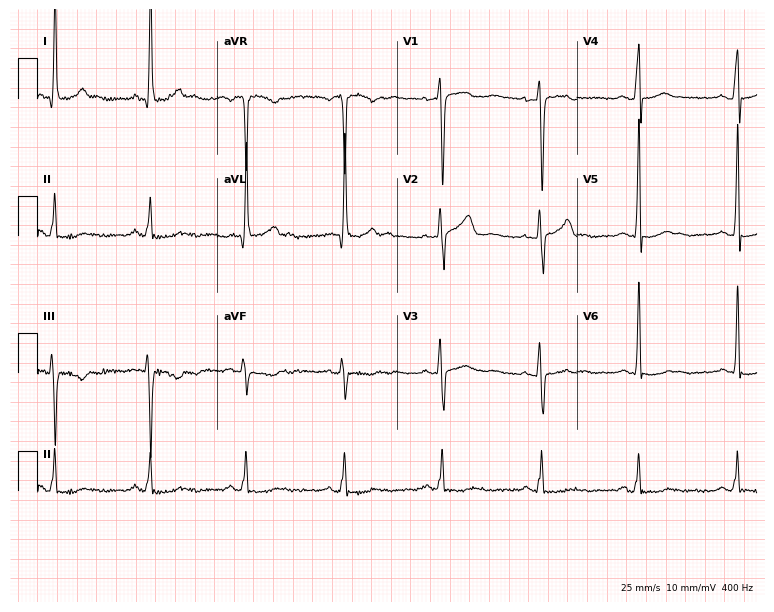
12-lead ECG from a woman, 48 years old. No first-degree AV block, right bundle branch block (RBBB), left bundle branch block (LBBB), sinus bradycardia, atrial fibrillation (AF) or sinus tachycardia recorded for this tracing. Only these six findings were labelled.